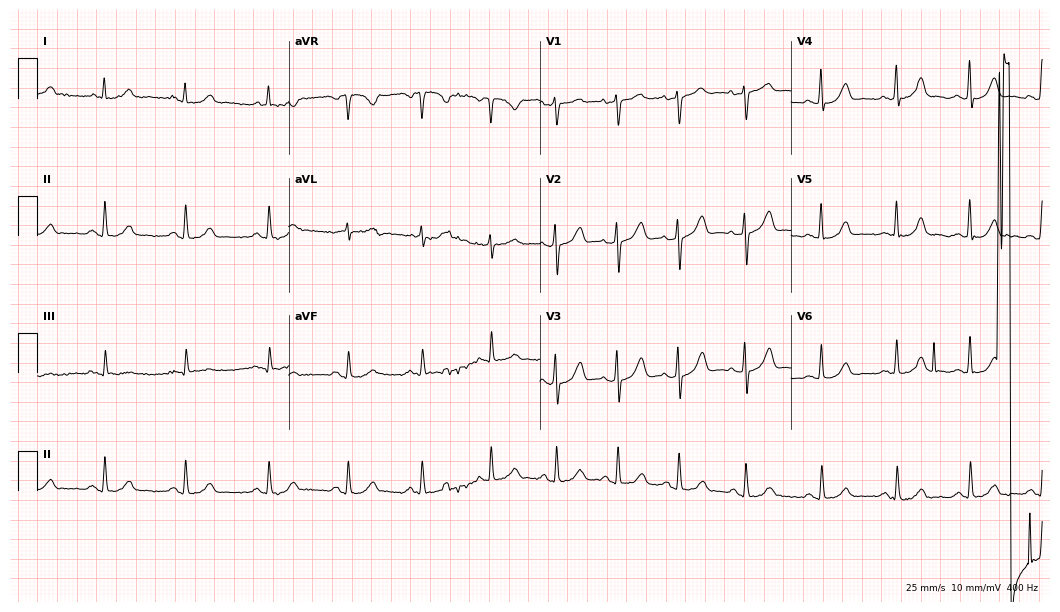
ECG (10.2-second recording at 400 Hz) — a 43-year-old female. Screened for six findings — first-degree AV block, right bundle branch block (RBBB), left bundle branch block (LBBB), sinus bradycardia, atrial fibrillation (AF), sinus tachycardia — none is recorded.